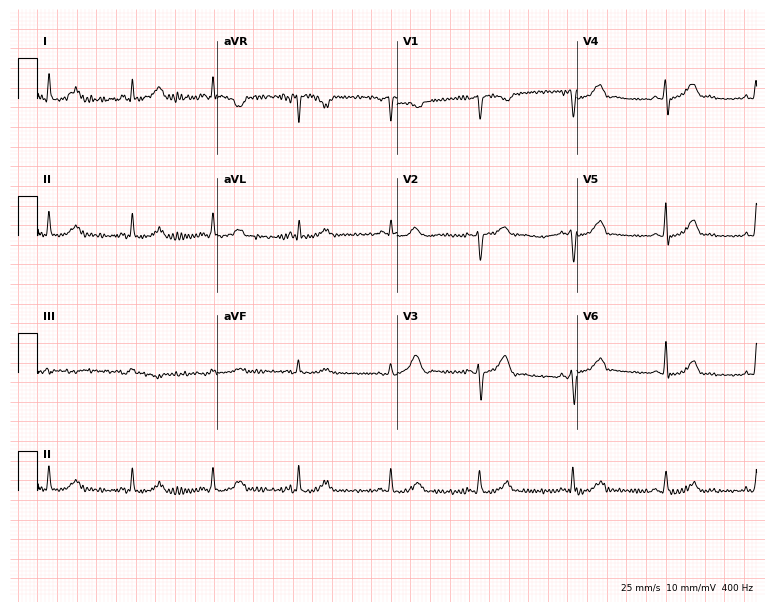
Resting 12-lead electrocardiogram (7.3-second recording at 400 Hz). Patient: a 38-year-old female. None of these six findings is recorded: first-degree AV block, right bundle branch block (RBBB), left bundle branch block (LBBB), sinus bradycardia, atrial fibrillation (AF), sinus tachycardia. Findings outside these six are not listed.